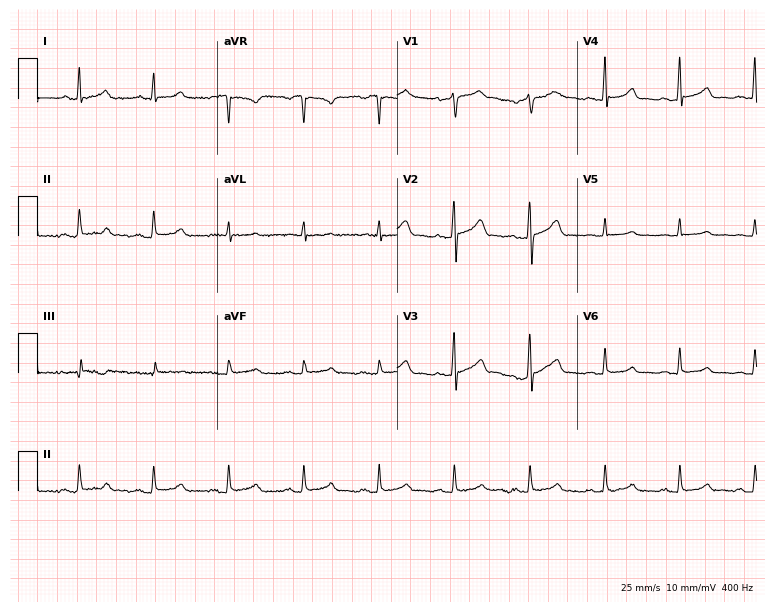
Resting 12-lead electrocardiogram (7.3-second recording at 400 Hz). Patient: a man, 49 years old. Read as a normal ECG.